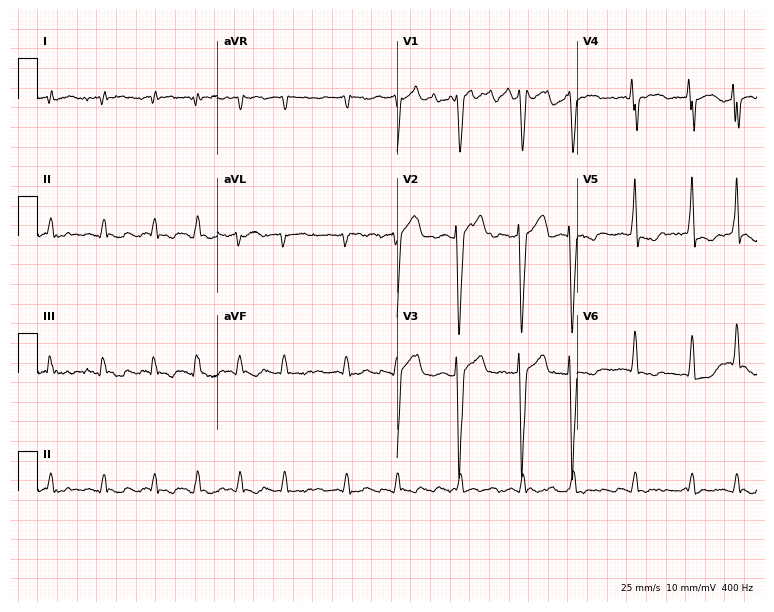
ECG (7.3-second recording at 400 Hz) — a 48-year-old man. Screened for six findings — first-degree AV block, right bundle branch block, left bundle branch block, sinus bradycardia, atrial fibrillation, sinus tachycardia — none is recorded.